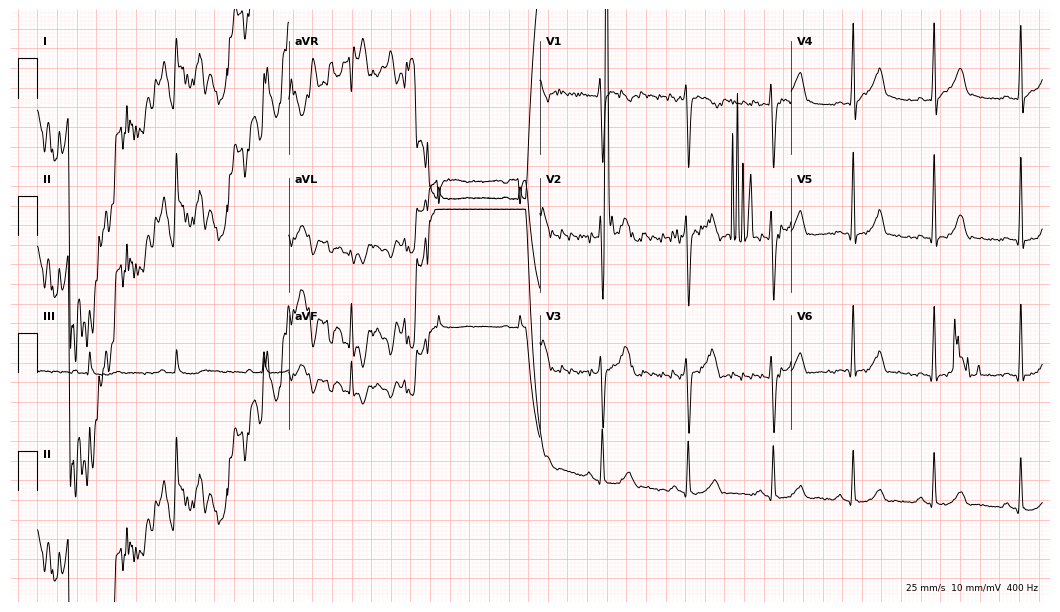
12-lead ECG (10.2-second recording at 400 Hz) from a 24-year-old man. Screened for six findings — first-degree AV block, right bundle branch block, left bundle branch block, sinus bradycardia, atrial fibrillation, sinus tachycardia — none is recorded. Other findings, if any, are not listed.